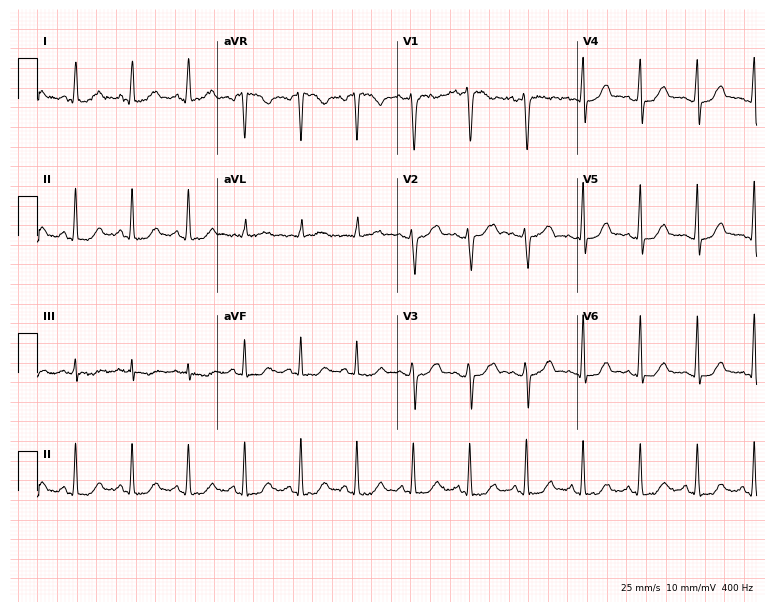
12-lead ECG from a 34-year-old female patient (7.3-second recording at 400 Hz). Shows sinus tachycardia (a sinus rate of 100 beats per minute or more).